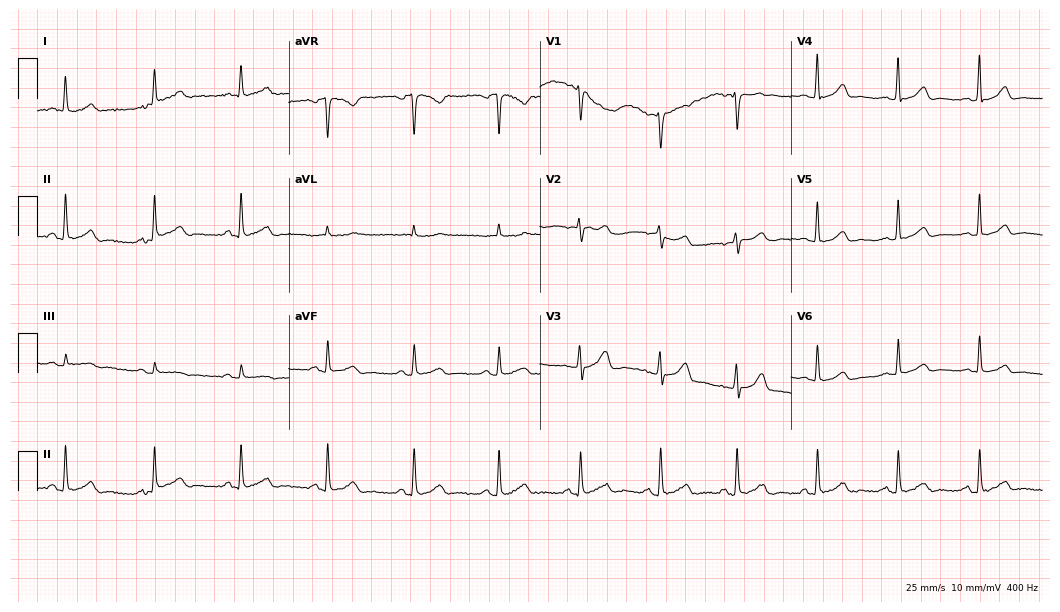
Electrocardiogram (10.2-second recording at 400 Hz), a female, 50 years old. Overall reading on record: normal ECG.